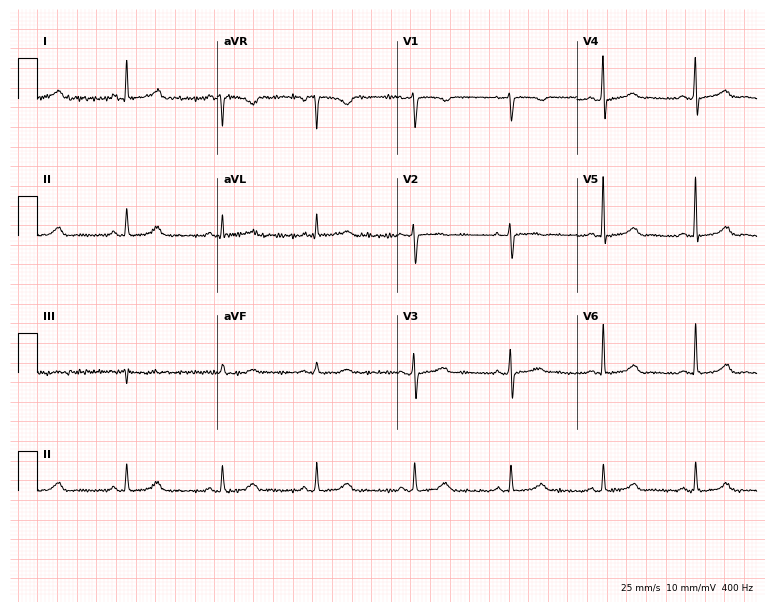
ECG — a woman, 43 years old. Labelled as a normal ECG.